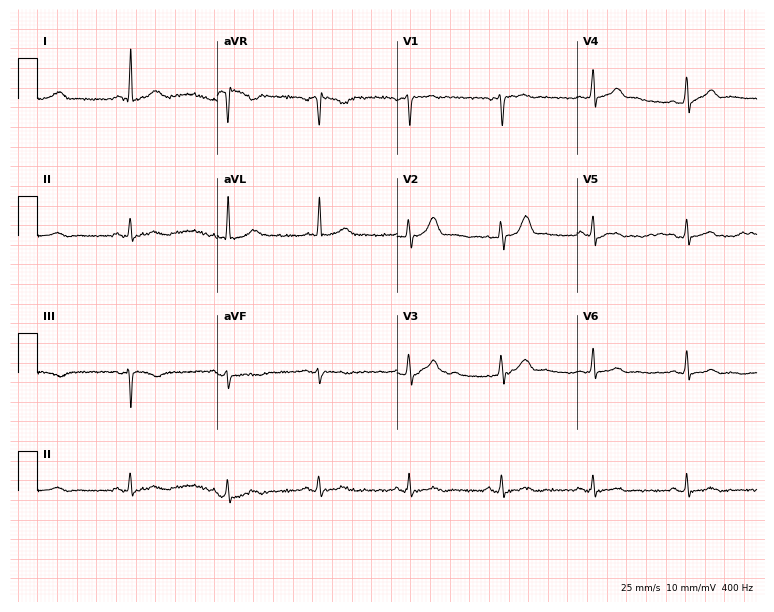
ECG — a 47-year-old male patient. Labelled as a normal ECG.